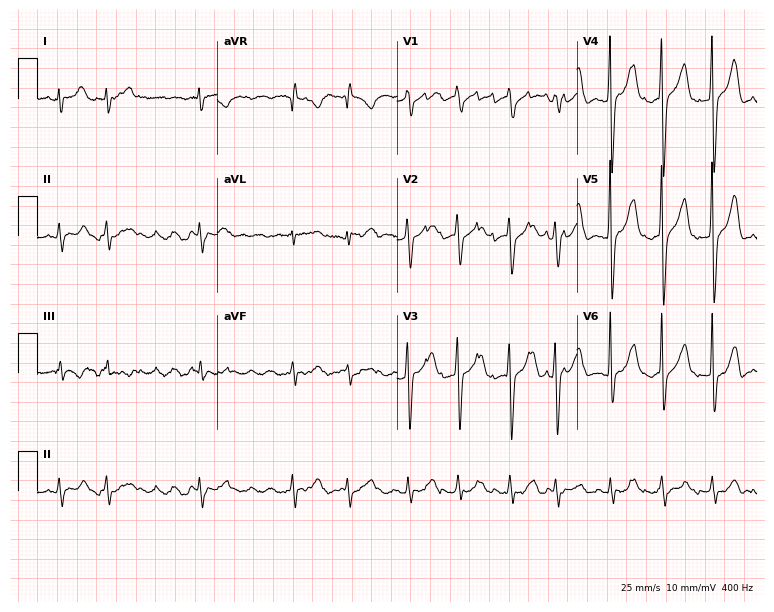
12-lead ECG from a male patient, 70 years old (7.3-second recording at 400 Hz). Shows atrial fibrillation (AF).